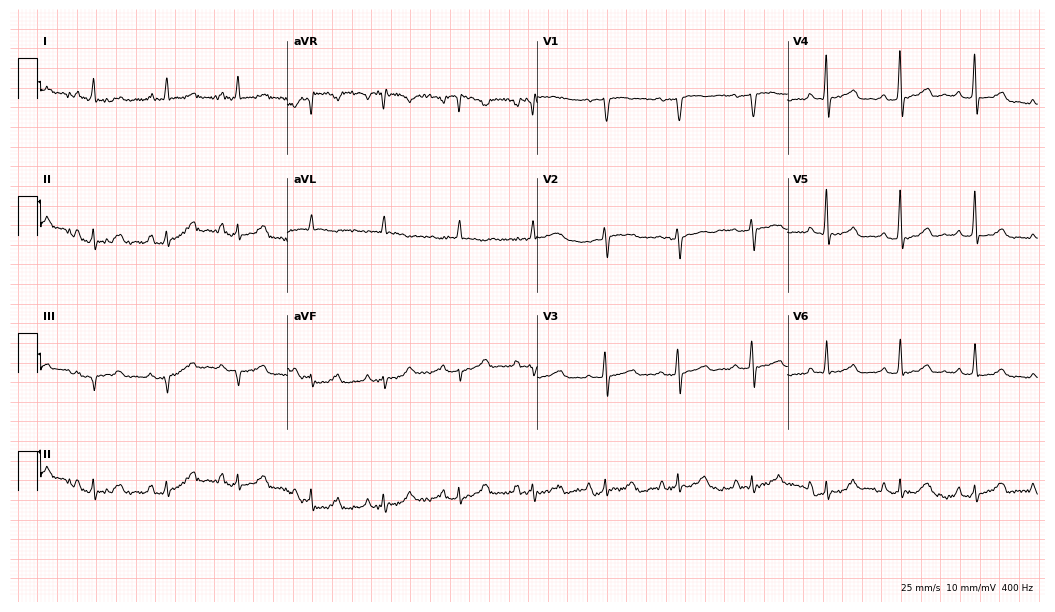
12-lead ECG from a 75-year-old female. Labelled as a normal ECG.